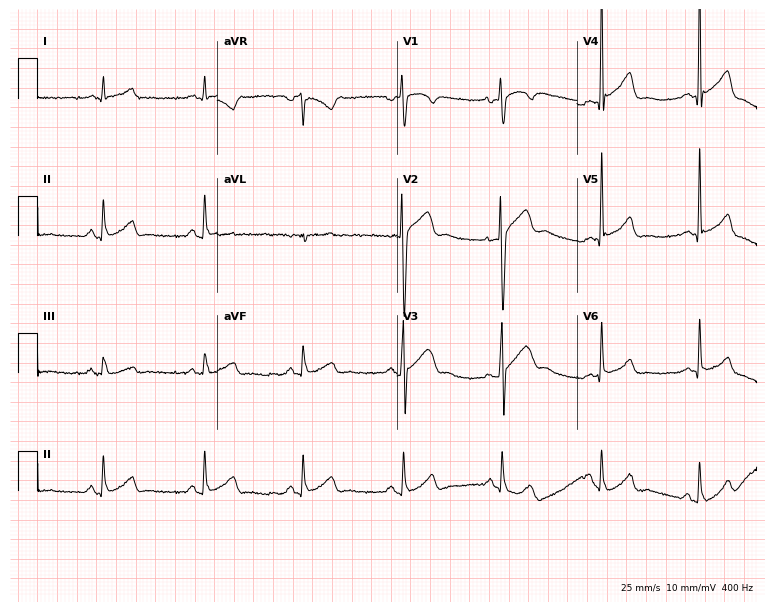
ECG (7.3-second recording at 400 Hz) — a 33-year-old male patient. Labelled as a normal ECG.